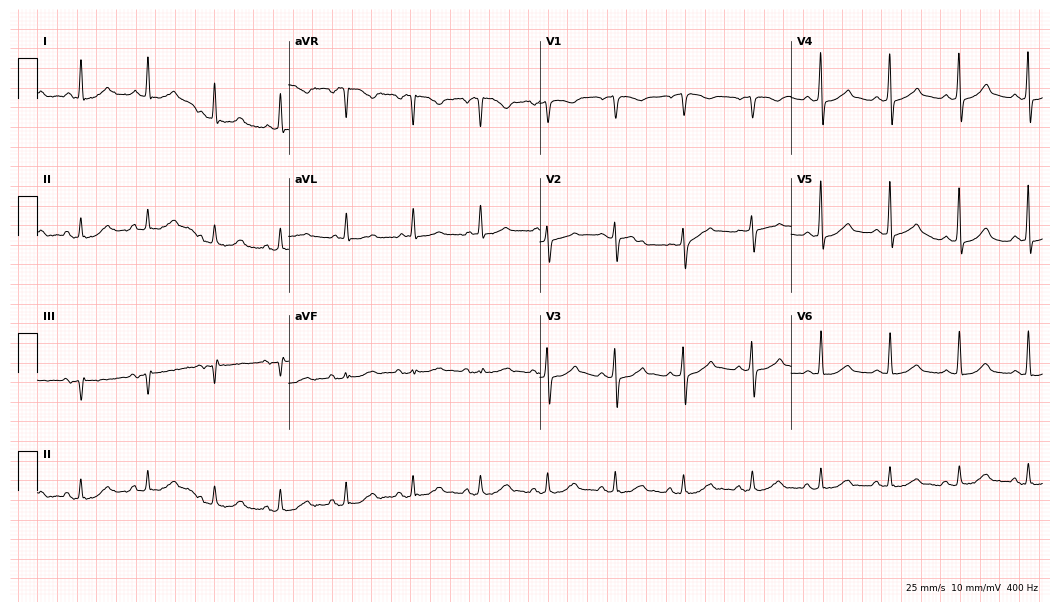
ECG — a female patient, 80 years old. Screened for six findings — first-degree AV block, right bundle branch block (RBBB), left bundle branch block (LBBB), sinus bradycardia, atrial fibrillation (AF), sinus tachycardia — none is recorded. Other findings, if any, are not listed.